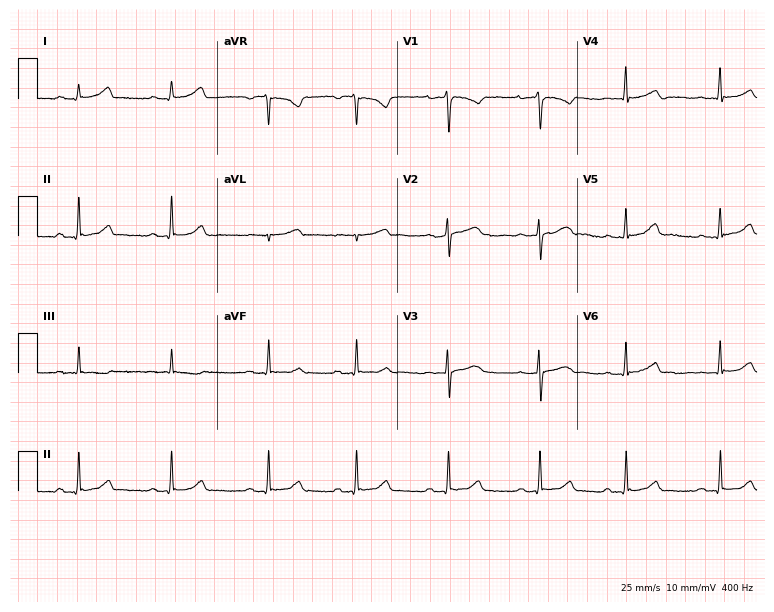
12-lead ECG from a 20-year-old female (7.3-second recording at 400 Hz). Shows first-degree AV block.